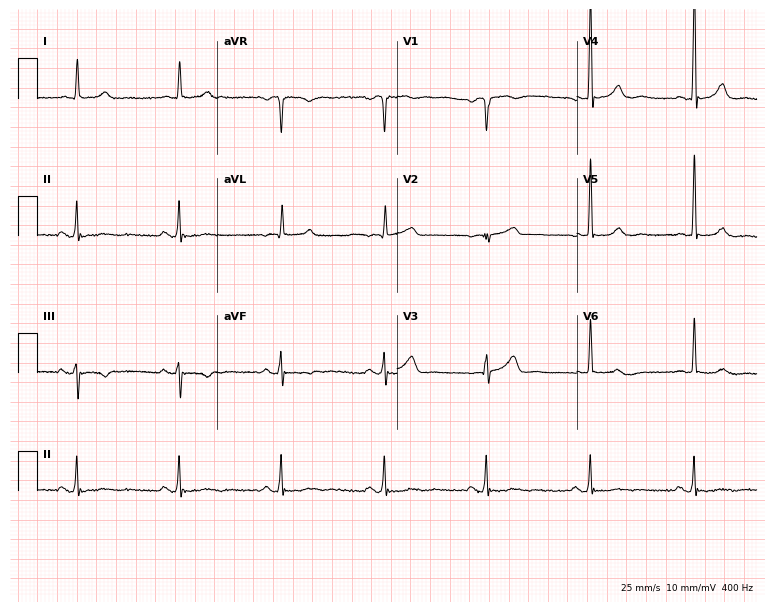
12-lead ECG from a 77-year-old man. No first-degree AV block, right bundle branch block, left bundle branch block, sinus bradycardia, atrial fibrillation or sinus tachycardia recorded for this tracing. Other findings, if any, are not listed.